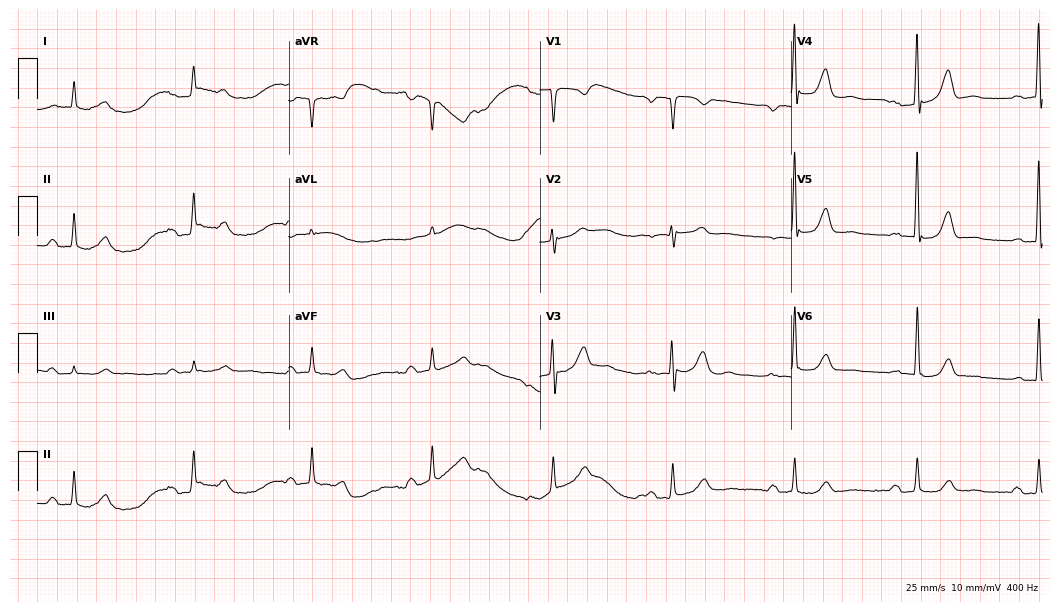
Standard 12-lead ECG recorded from a male, 83 years old (10.2-second recording at 400 Hz). The tracing shows sinus bradycardia (a sinus rate of 50 beats per minute or less).